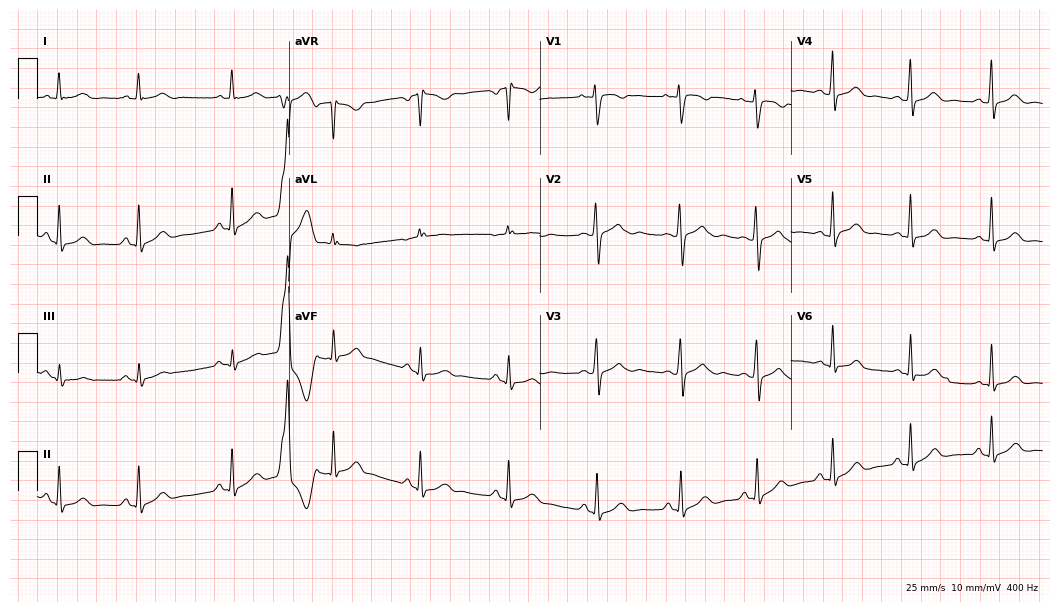
Resting 12-lead electrocardiogram (10.2-second recording at 400 Hz). Patient: a 35-year-old female. None of these six findings is recorded: first-degree AV block, right bundle branch block, left bundle branch block, sinus bradycardia, atrial fibrillation, sinus tachycardia. Only these six findings were labelled.